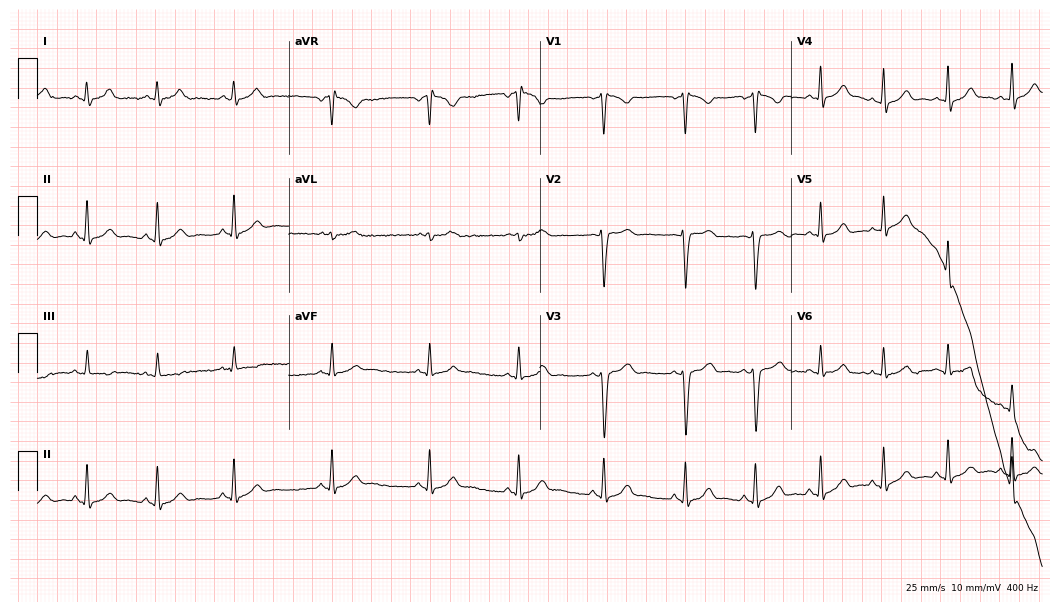
Resting 12-lead electrocardiogram (10.2-second recording at 400 Hz). Patient: a 29-year-old woman. None of these six findings is recorded: first-degree AV block, right bundle branch block, left bundle branch block, sinus bradycardia, atrial fibrillation, sinus tachycardia. Findings outside these six are not listed.